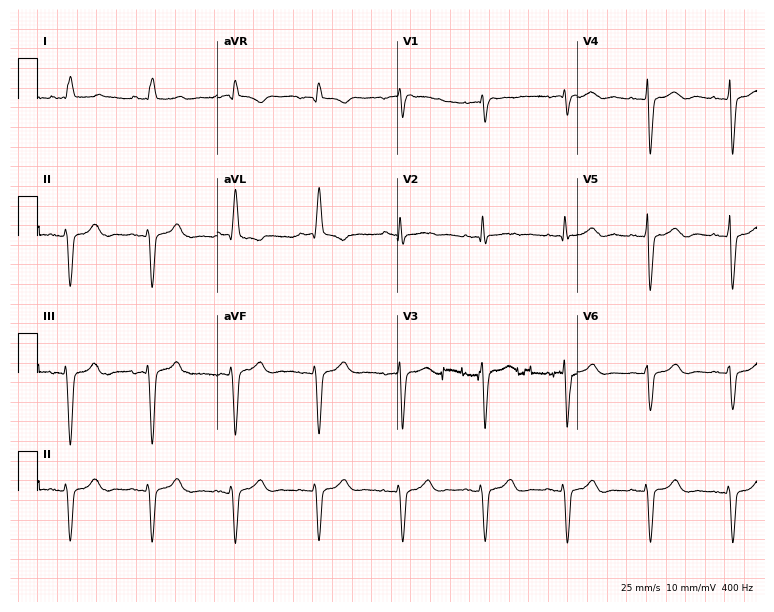
12-lead ECG from a woman, 74 years old. No first-degree AV block, right bundle branch block (RBBB), left bundle branch block (LBBB), sinus bradycardia, atrial fibrillation (AF) or sinus tachycardia recorded for this tracing.